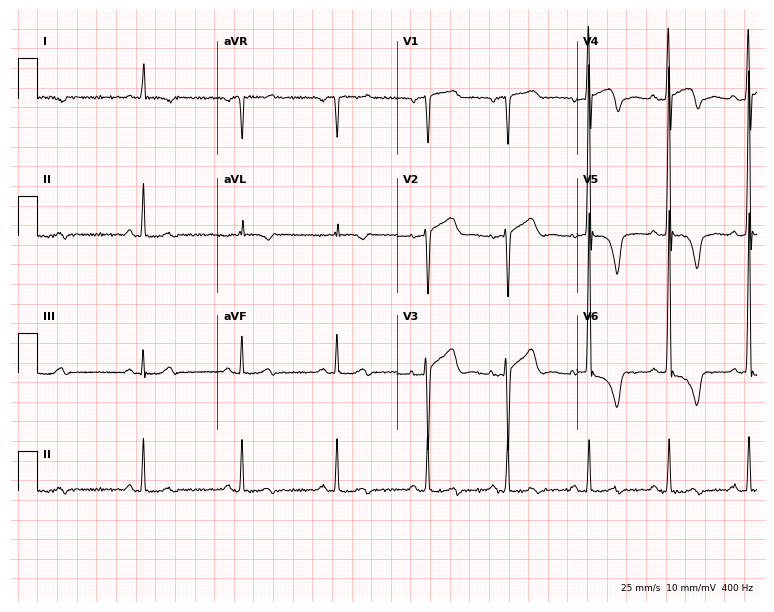
ECG — a man, 69 years old. Screened for six findings — first-degree AV block, right bundle branch block (RBBB), left bundle branch block (LBBB), sinus bradycardia, atrial fibrillation (AF), sinus tachycardia — none is recorded. Findings outside these six are not listed.